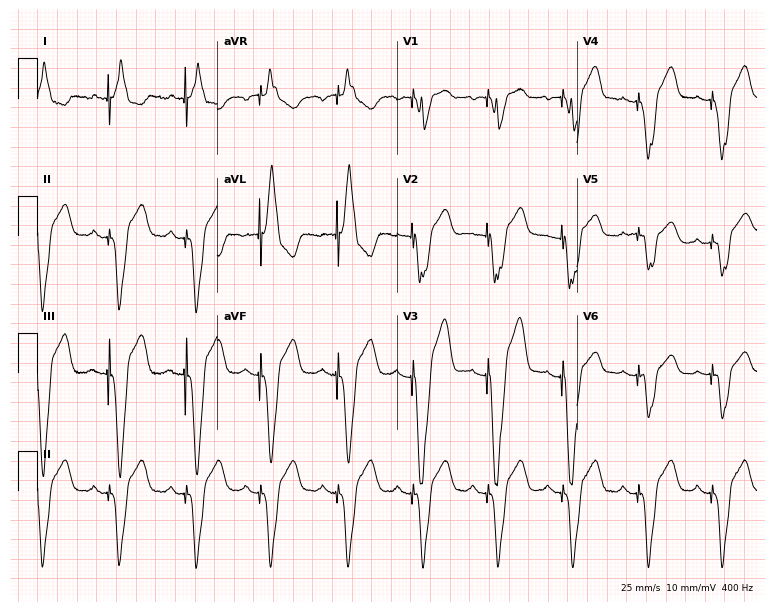
Electrocardiogram (7.3-second recording at 400 Hz), a female patient, 70 years old. Of the six screened findings (first-degree AV block, right bundle branch block, left bundle branch block, sinus bradycardia, atrial fibrillation, sinus tachycardia), none is recorded.